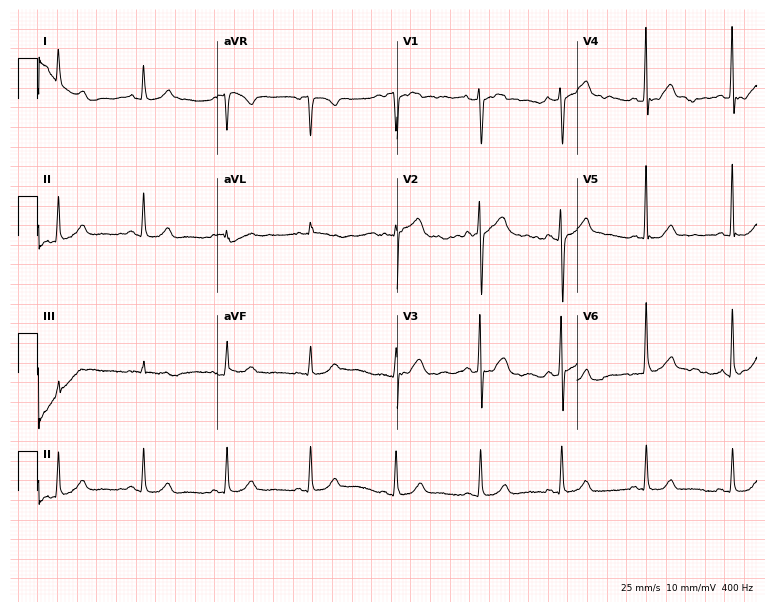
ECG — a 48-year-old female patient. Screened for six findings — first-degree AV block, right bundle branch block, left bundle branch block, sinus bradycardia, atrial fibrillation, sinus tachycardia — none is recorded.